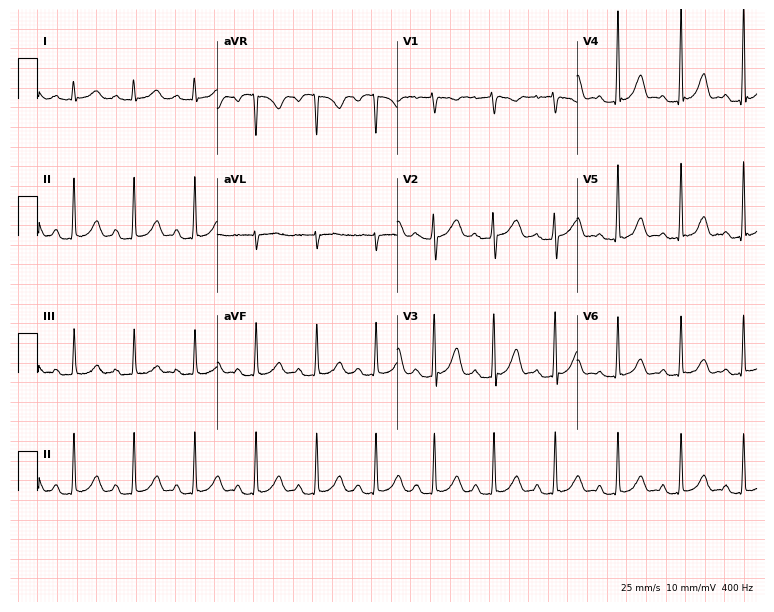
Standard 12-lead ECG recorded from an 18-year-old female. Read as a normal ECG.